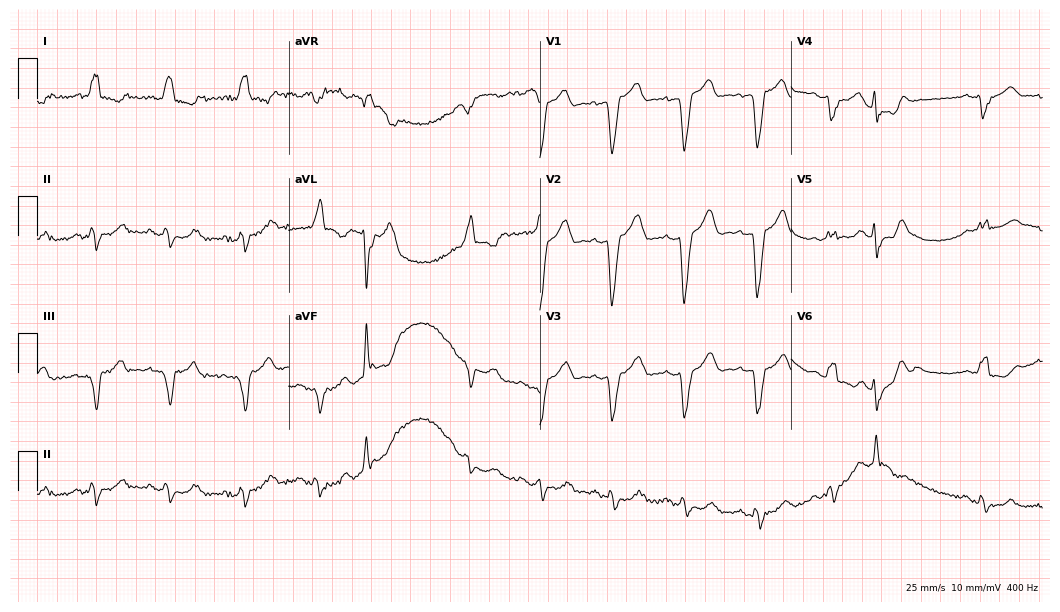
12-lead ECG (10.2-second recording at 400 Hz) from a female patient, 82 years old. Findings include left bundle branch block (LBBB).